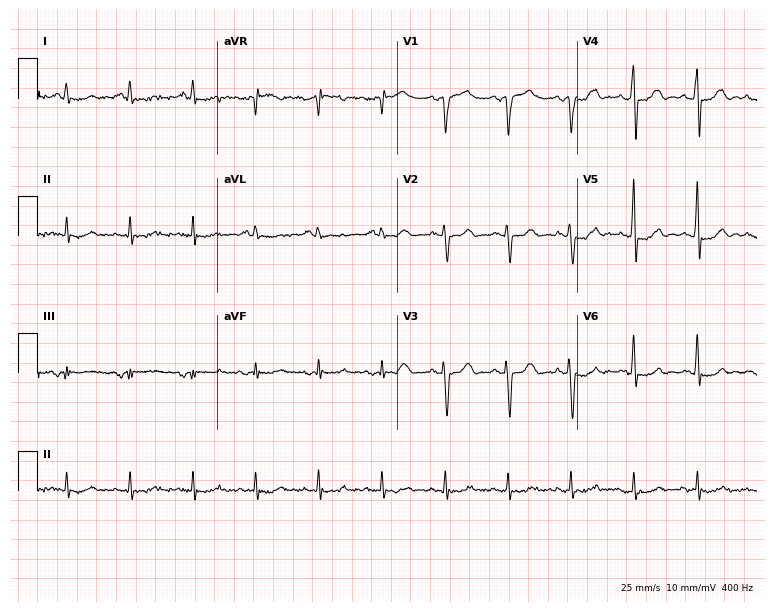
Electrocardiogram, a 75-year-old male. Of the six screened findings (first-degree AV block, right bundle branch block, left bundle branch block, sinus bradycardia, atrial fibrillation, sinus tachycardia), none is recorded. Findings outside these six are not listed.